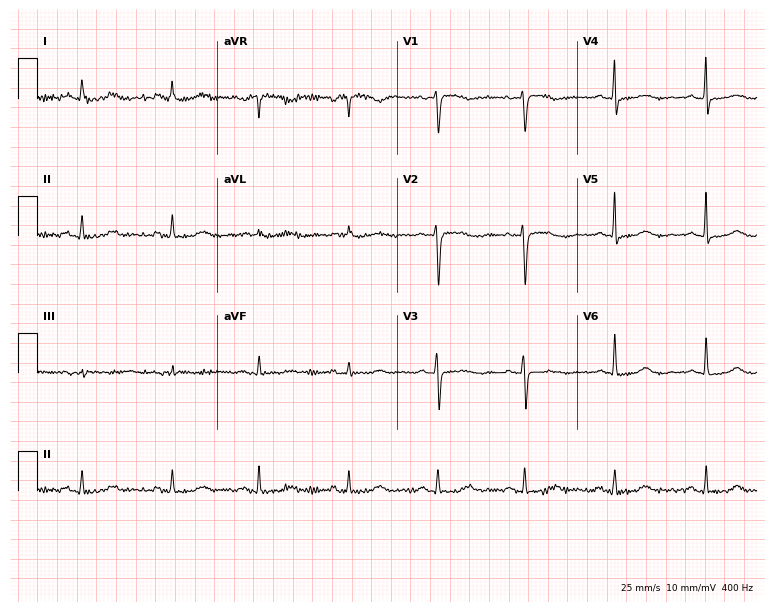
Electrocardiogram (7.3-second recording at 400 Hz), a 53-year-old female patient. Of the six screened findings (first-degree AV block, right bundle branch block, left bundle branch block, sinus bradycardia, atrial fibrillation, sinus tachycardia), none is recorded.